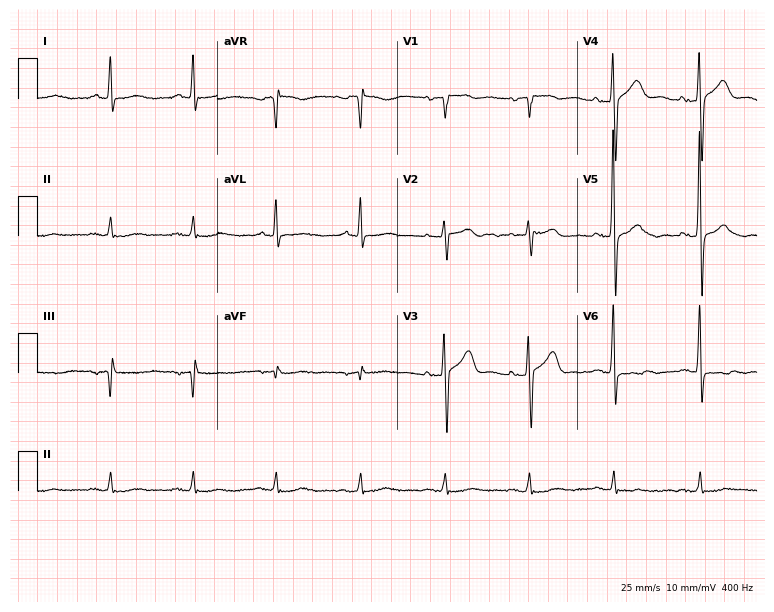
Standard 12-lead ECG recorded from a 62-year-old man (7.3-second recording at 400 Hz). None of these six findings is recorded: first-degree AV block, right bundle branch block, left bundle branch block, sinus bradycardia, atrial fibrillation, sinus tachycardia. Only these six findings were labelled.